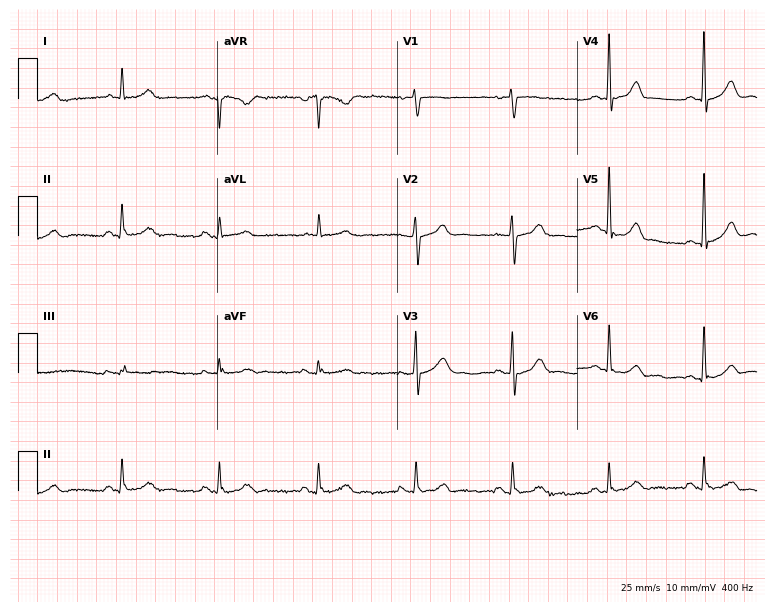
12-lead ECG (7.3-second recording at 400 Hz) from a 68-year-old male. Labelled as a normal ECG.